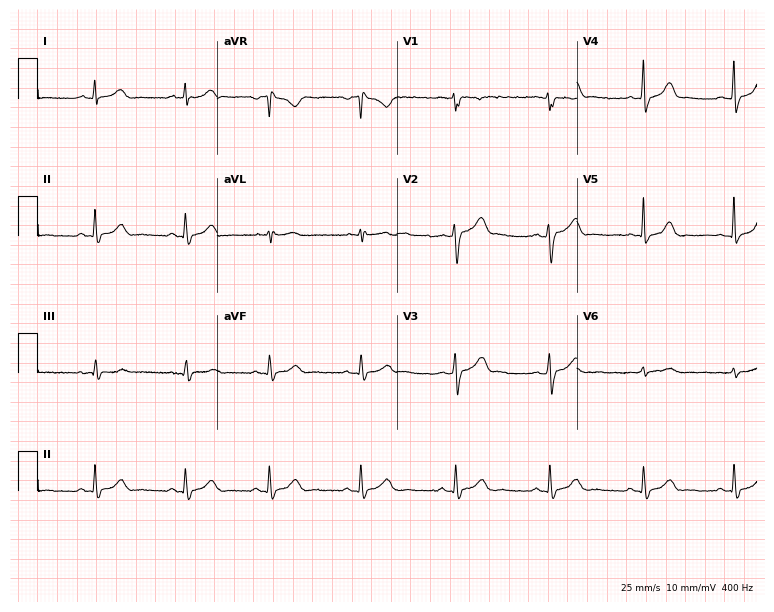
12-lead ECG (7.3-second recording at 400 Hz) from a female patient, 31 years old. Labelled as a normal ECG.